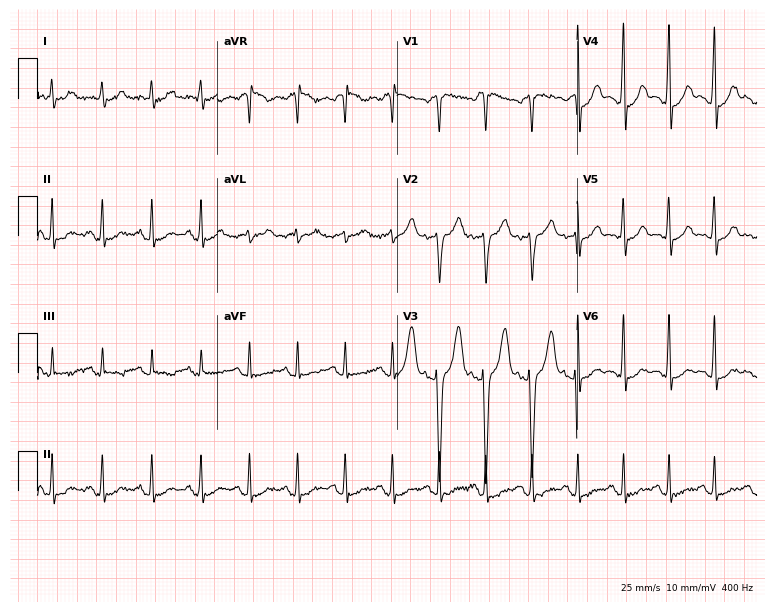
Electrocardiogram (7.3-second recording at 400 Hz), a male patient, 42 years old. Interpretation includes sinus tachycardia (a sinus rate of 100 beats per minute or more).